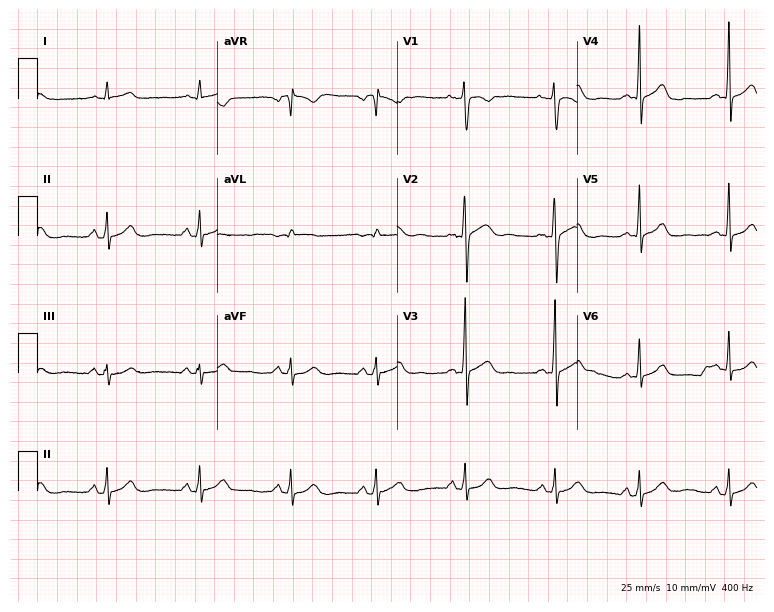
Standard 12-lead ECG recorded from a 38-year-old woman (7.3-second recording at 400 Hz). Read as a normal ECG.